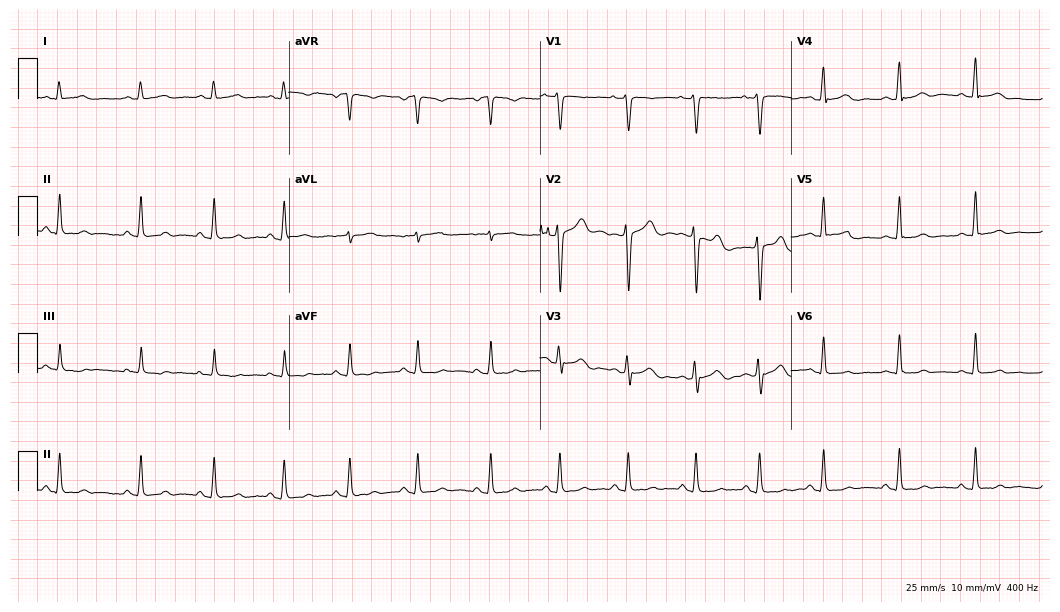
12-lead ECG (10.2-second recording at 400 Hz) from a woman, 19 years old. Screened for six findings — first-degree AV block, right bundle branch block, left bundle branch block, sinus bradycardia, atrial fibrillation, sinus tachycardia — none is recorded. Other findings, if any, are not listed.